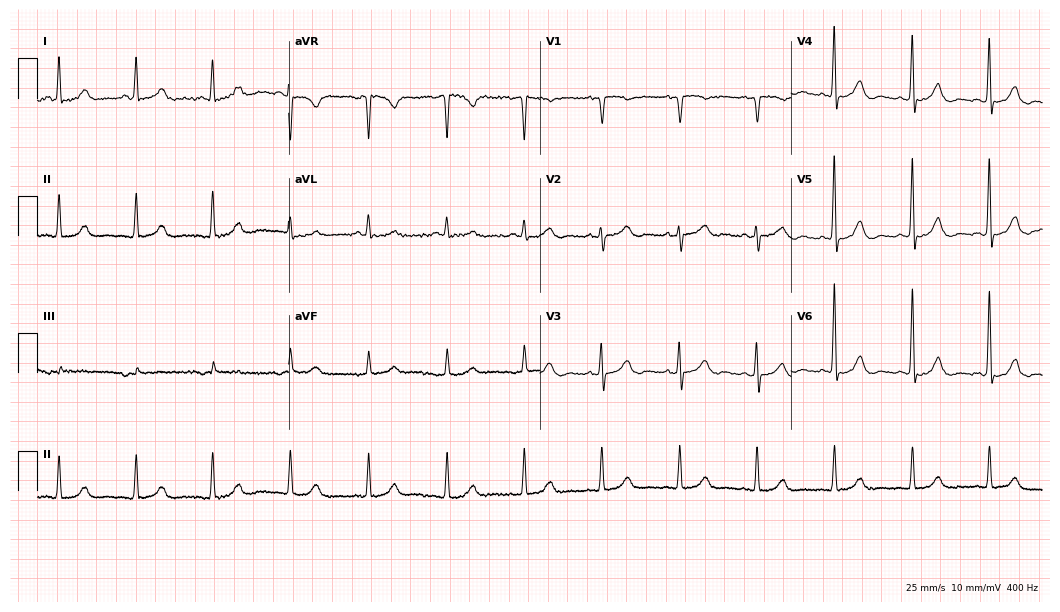
Standard 12-lead ECG recorded from an 80-year-old female patient (10.2-second recording at 400 Hz). Read as a normal ECG.